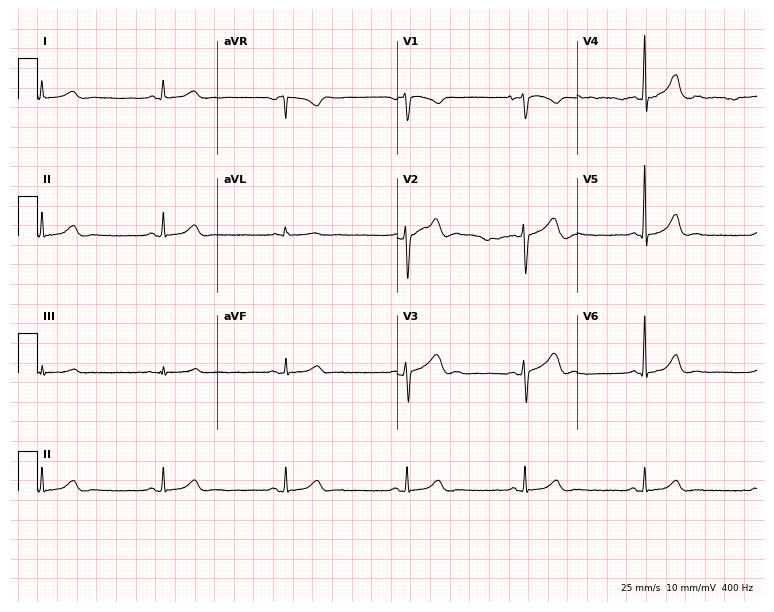
12-lead ECG from a 50-year-old male patient (7.3-second recording at 400 Hz). Shows sinus bradycardia (a sinus rate of 50 beats per minute or less).